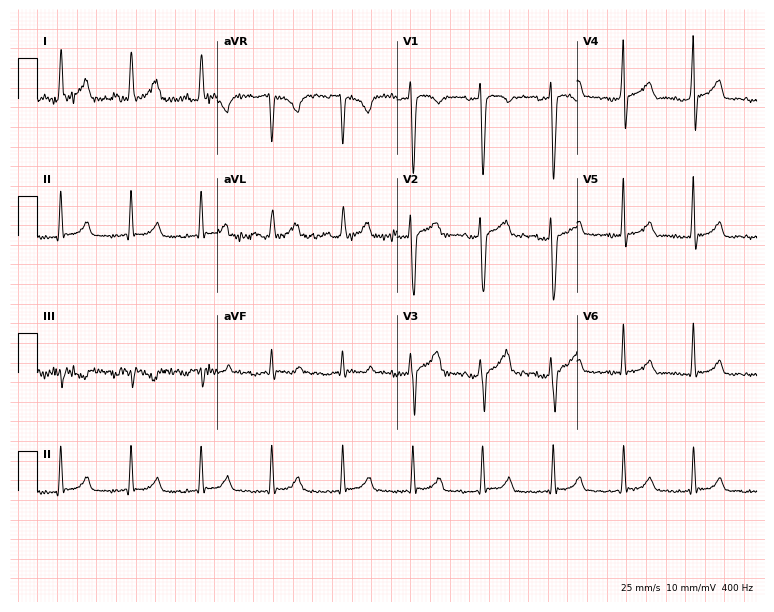
12-lead ECG from a woman, 51 years old (7.3-second recording at 400 Hz). Recorded interpretation: within normal limits.